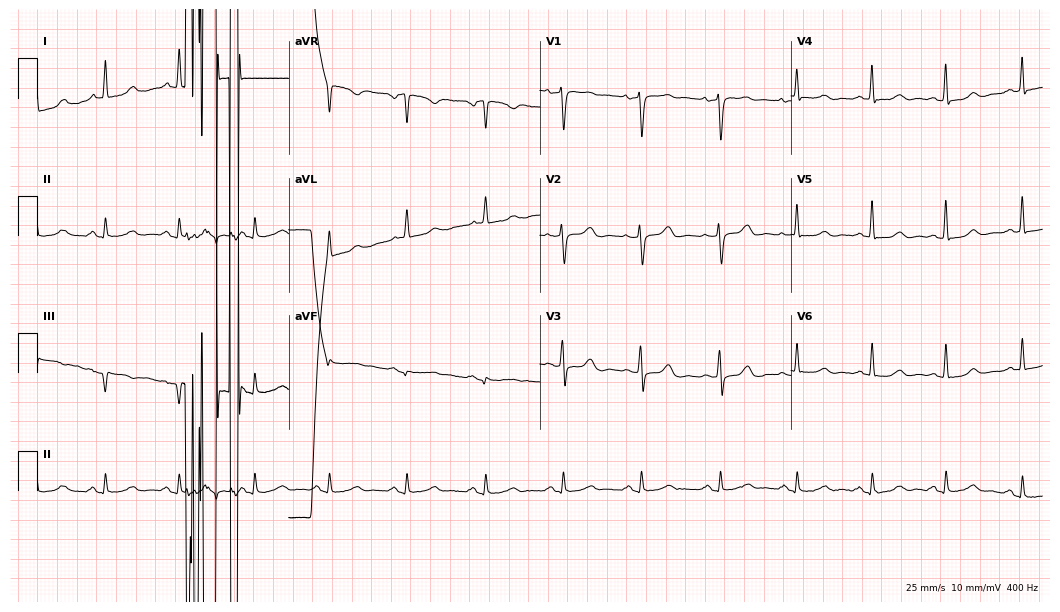
Standard 12-lead ECG recorded from a 67-year-old woman (10.2-second recording at 400 Hz). None of these six findings is recorded: first-degree AV block, right bundle branch block, left bundle branch block, sinus bradycardia, atrial fibrillation, sinus tachycardia. Other findings, if any, are not listed.